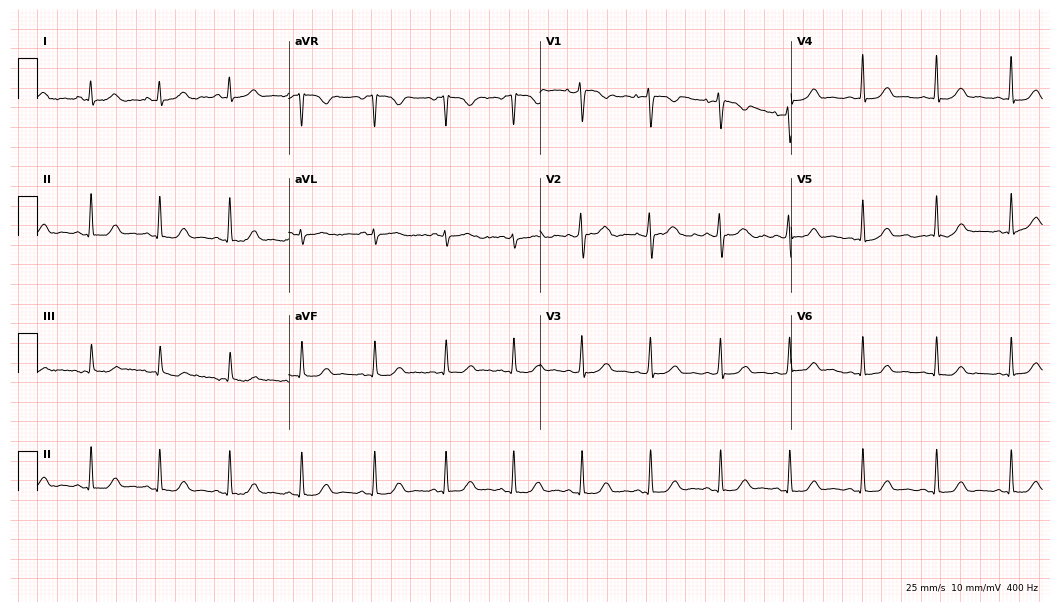
12-lead ECG from a 22-year-old woman (10.2-second recording at 400 Hz). Recorded interpretation: within normal limits.